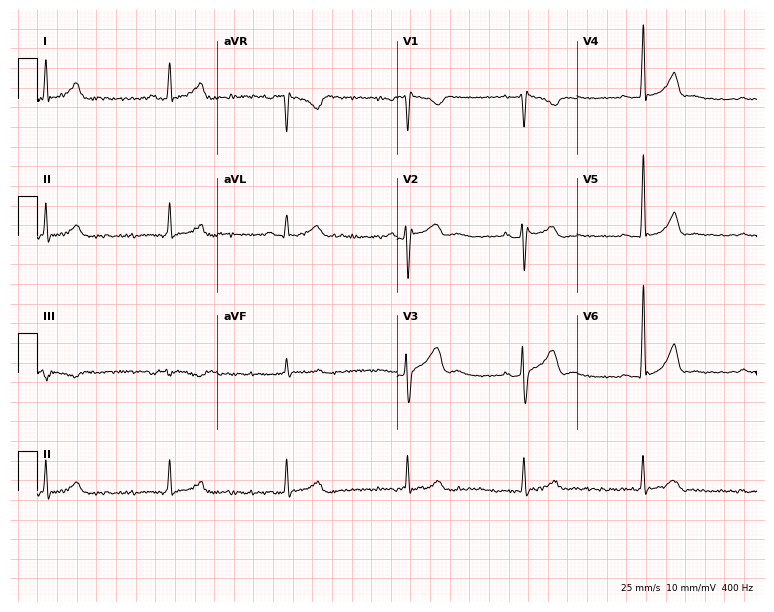
12-lead ECG from a 37-year-old male patient (7.3-second recording at 400 Hz). No first-degree AV block, right bundle branch block (RBBB), left bundle branch block (LBBB), sinus bradycardia, atrial fibrillation (AF) or sinus tachycardia recorded for this tracing. Findings outside these six are not listed.